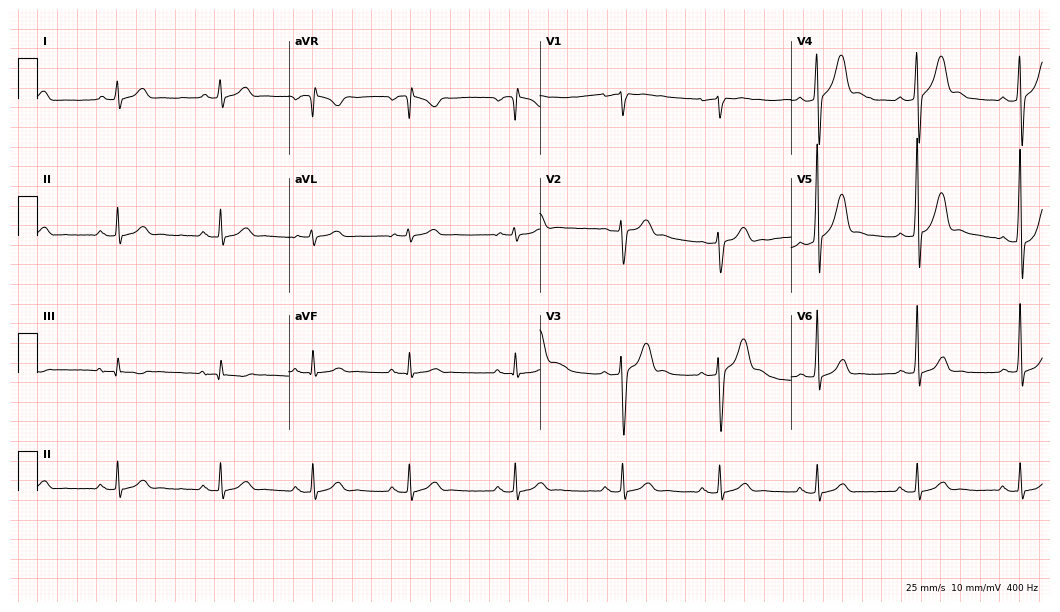
Electrocardiogram, a 26-year-old man. Overall reading on record: normal ECG.